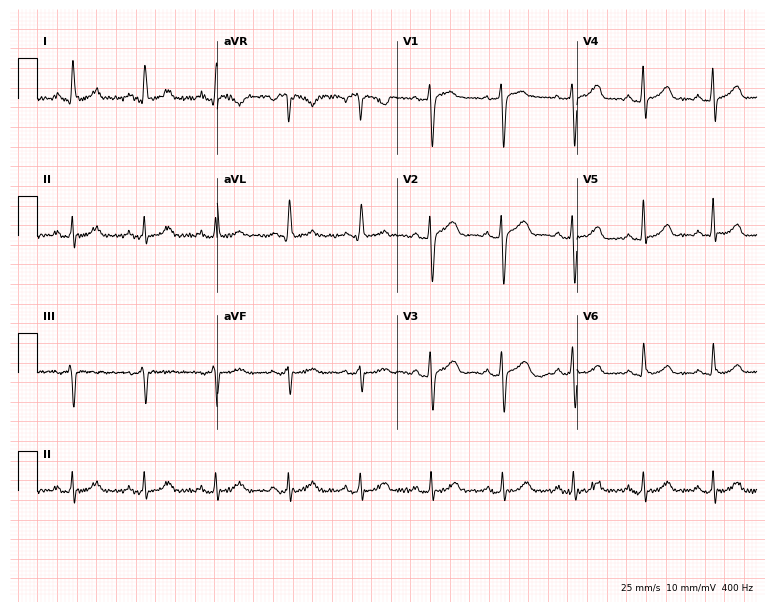
Resting 12-lead electrocardiogram (7.3-second recording at 400 Hz). Patient: a female, 60 years old. Read as a normal ECG.